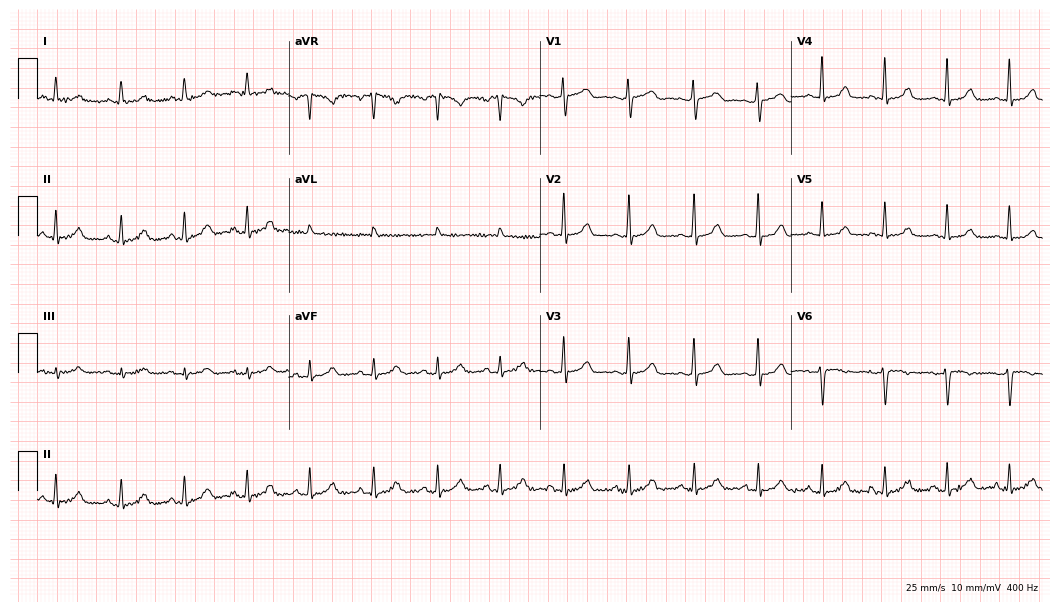
Electrocardiogram (10.2-second recording at 400 Hz), a female, 35 years old. Of the six screened findings (first-degree AV block, right bundle branch block (RBBB), left bundle branch block (LBBB), sinus bradycardia, atrial fibrillation (AF), sinus tachycardia), none is recorded. Findings outside these six are not listed.